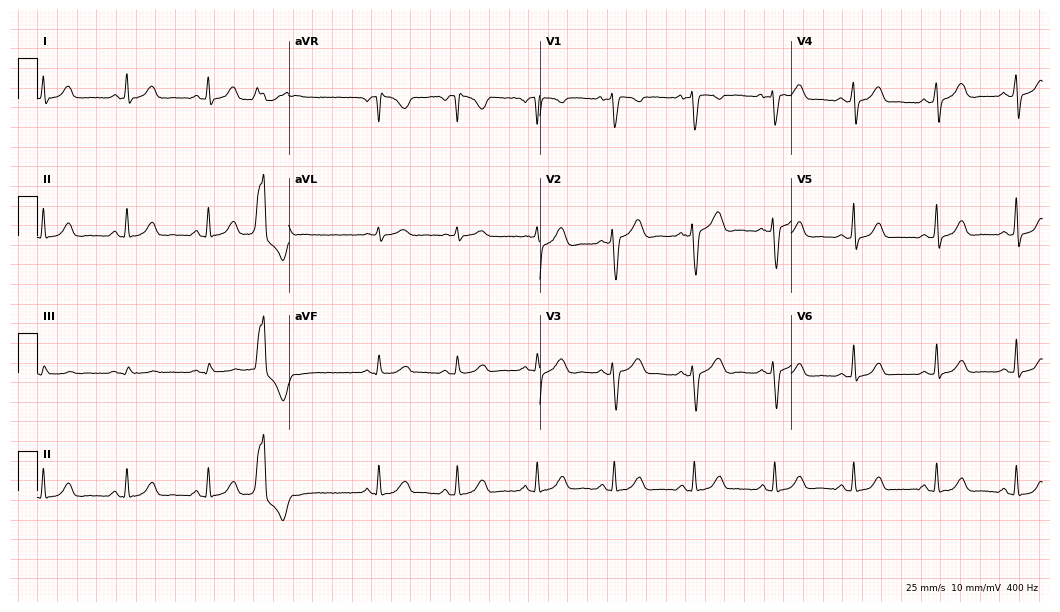
Electrocardiogram (10.2-second recording at 400 Hz), a female, 39 years old. Of the six screened findings (first-degree AV block, right bundle branch block, left bundle branch block, sinus bradycardia, atrial fibrillation, sinus tachycardia), none is recorded. Other findings, if any, are not listed.